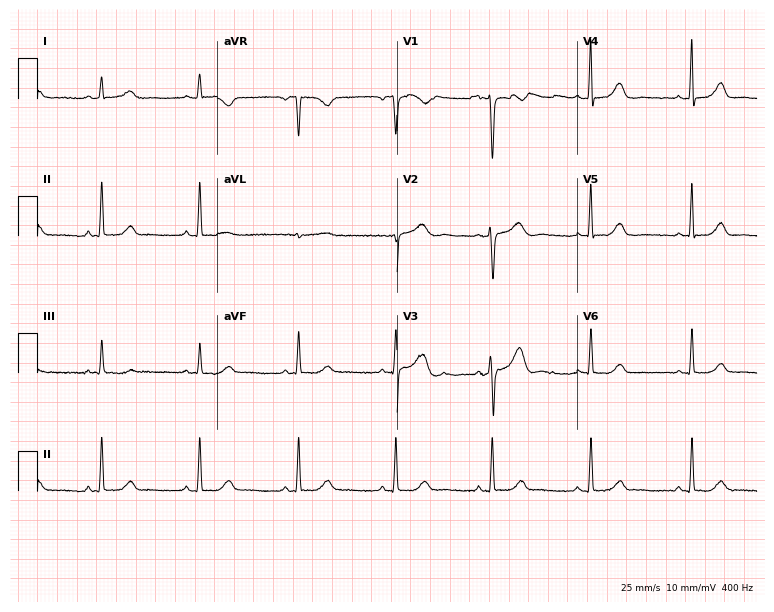
Standard 12-lead ECG recorded from a female, 40 years old (7.3-second recording at 400 Hz). Read as a normal ECG.